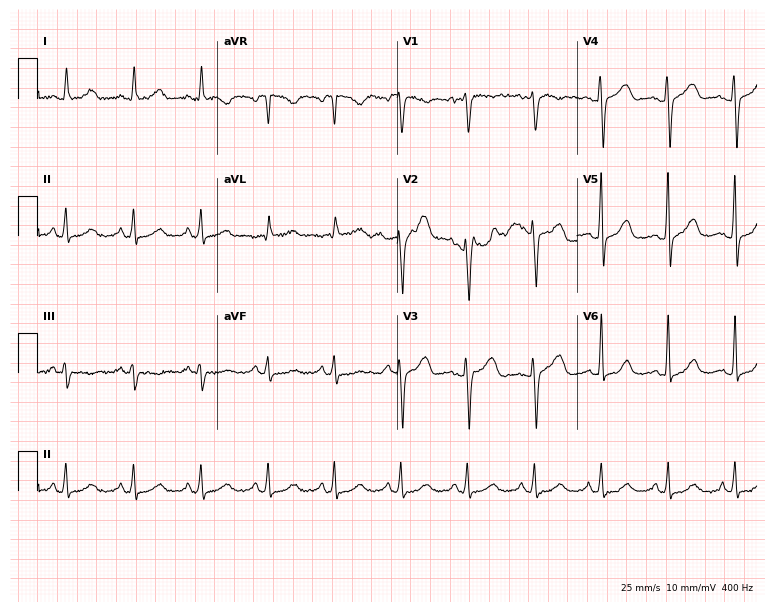
Resting 12-lead electrocardiogram. Patient: a 43-year-old woman. Read as a normal ECG.